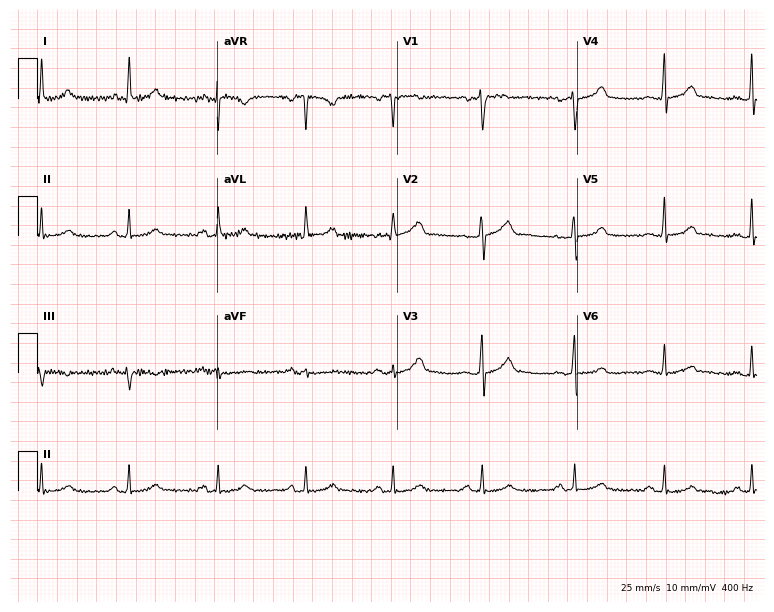
Standard 12-lead ECG recorded from a 38-year-old female patient (7.3-second recording at 400 Hz). None of these six findings is recorded: first-degree AV block, right bundle branch block (RBBB), left bundle branch block (LBBB), sinus bradycardia, atrial fibrillation (AF), sinus tachycardia.